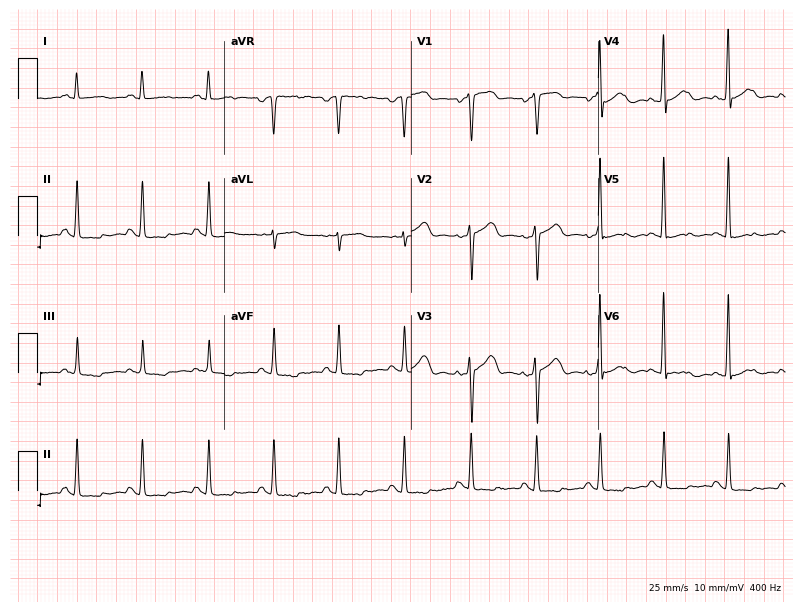
12-lead ECG from a 63-year-old male (7.6-second recording at 400 Hz). No first-degree AV block, right bundle branch block, left bundle branch block, sinus bradycardia, atrial fibrillation or sinus tachycardia recorded for this tracing. Findings outside these six are not listed.